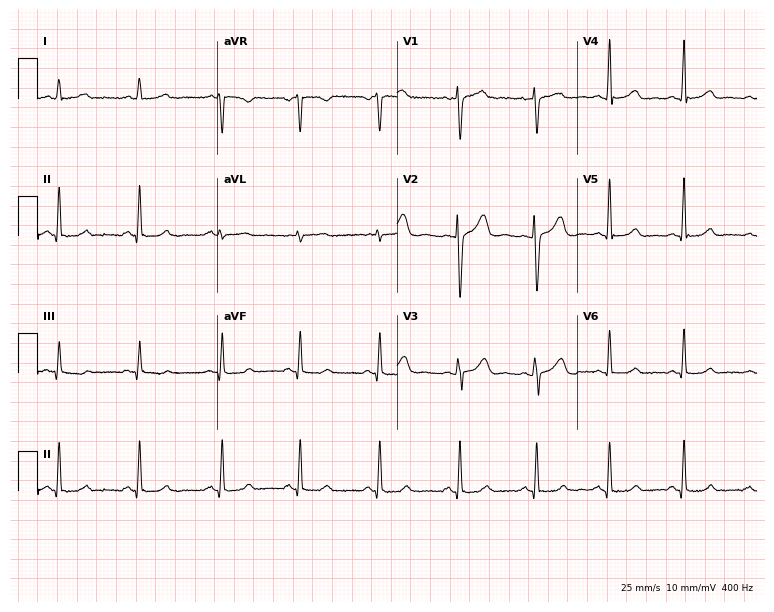
12-lead ECG from a 33-year-old woman. Labelled as a normal ECG.